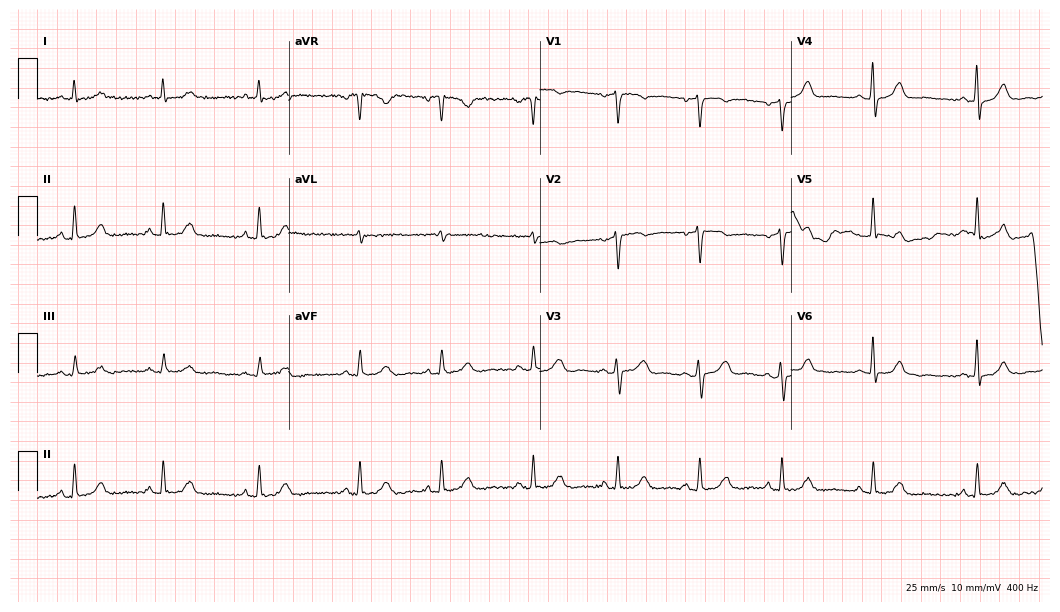
Resting 12-lead electrocardiogram. Patient: a 61-year-old woman. None of these six findings is recorded: first-degree AV block, right bundle branch block (RBBB), left bundle branch block (LBBB), sinus bradycardia, atrial fibrillation (AF), sinus tachycardia.